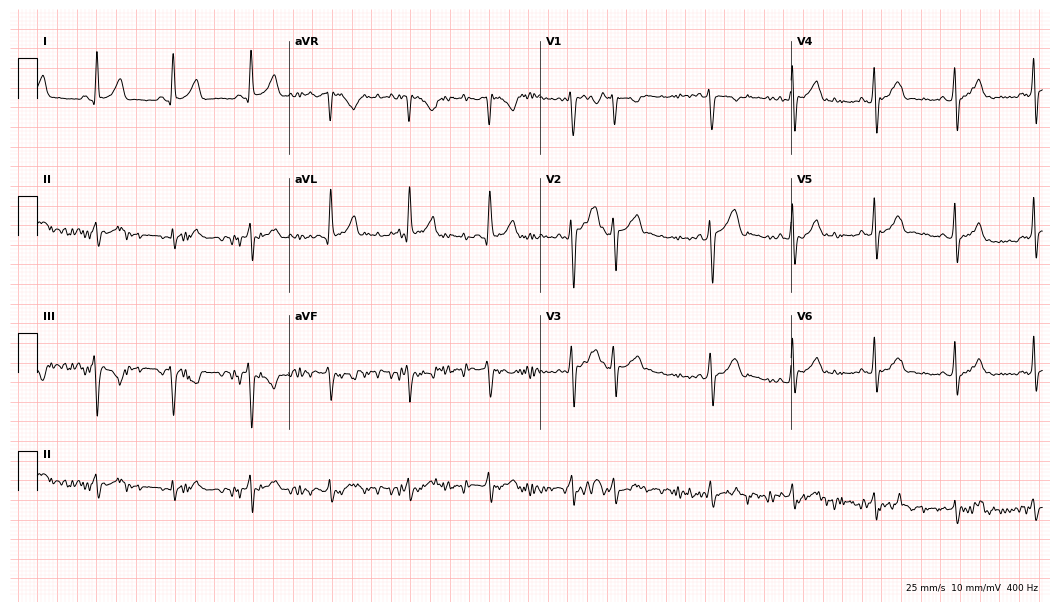
Electrocardiogram (10.2-second recording at 400 Hz), a 46-year-old male patient. Of the six screened findings (first-degree AV block, right bundle branch block (RBBB), left bundle branch block (LBBB), sinus bradycardia, atrial fibrillation (AF), sinus tachycardia), none is recorded.